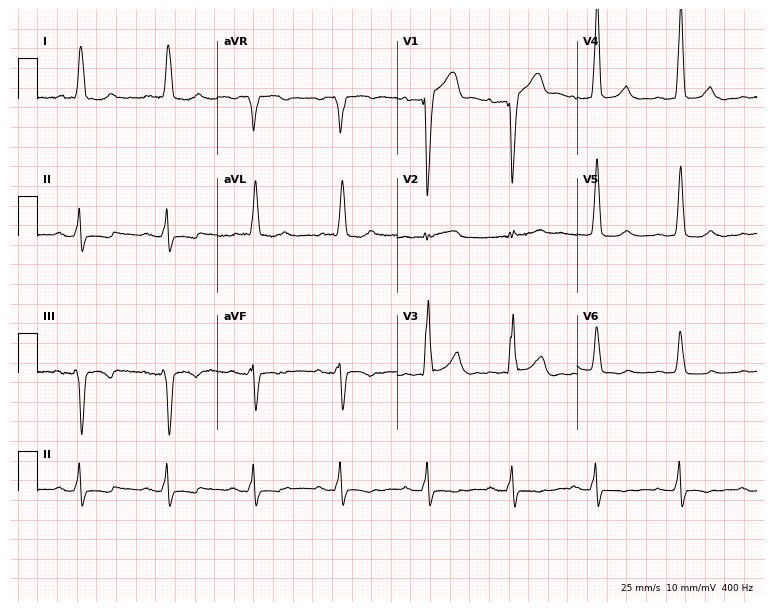
12-lead ECG from a man, 77 years old. Shows left bundle branch block (LBBB).